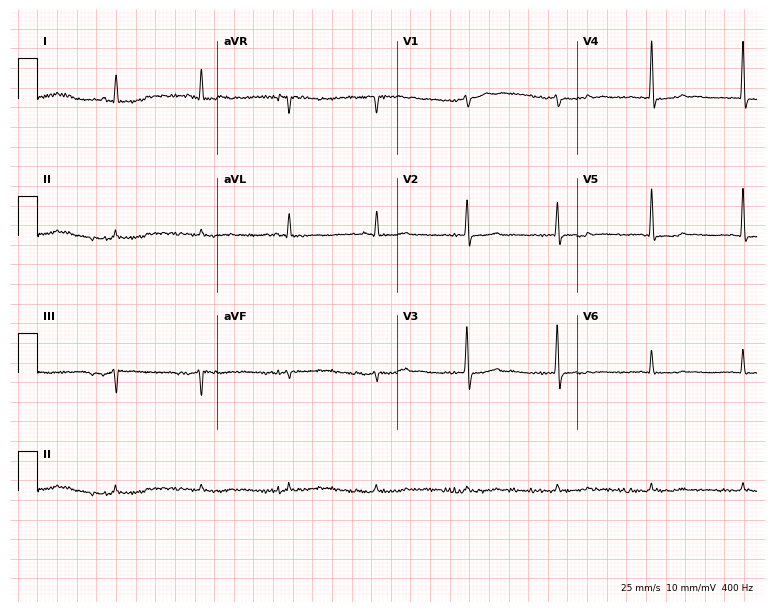
Resting 12-lead electrocardiogram. Patient: a man, 77 years old. None of these six findings is recorded: first-degree AV block, right bundle branch block, left bundle branch block, sinus bradycardia, atrial fibrillation, sinus tachycardia.